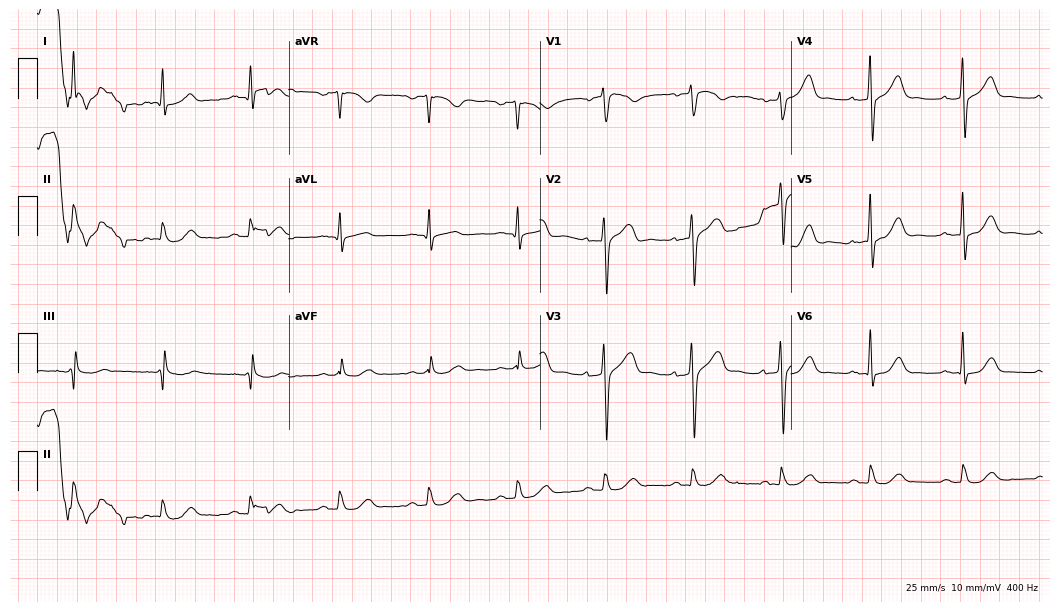
Standard 12-lead ECG recorded from a 39-year-old man. None of these six findings is recorded: first-degree AV block, right bundle branch block (RBBB), left bundle branch block (LBBB), sinus bradycardia, atrial fibrillation (AF), sinus tachycardia.